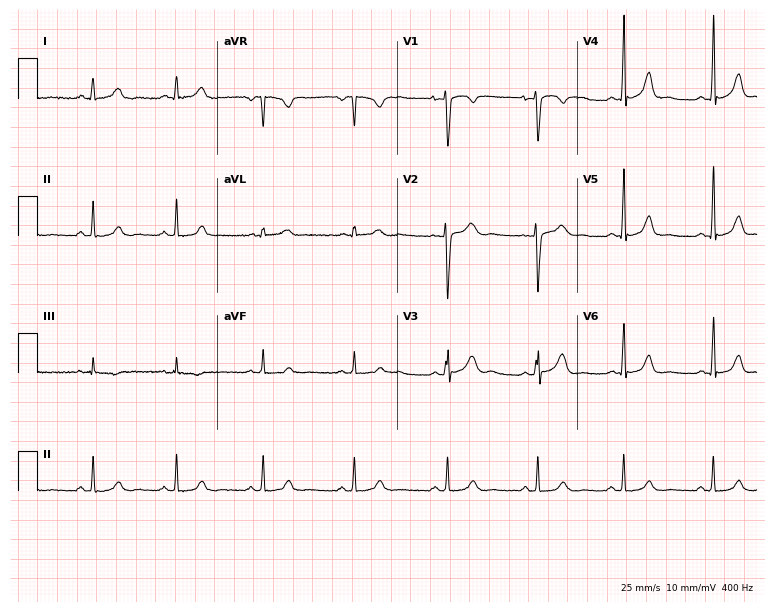
12-lead ECG from a 31-year-old female (7.3-second recording at 400 Hz). Recorded interpretation: within normal limits.